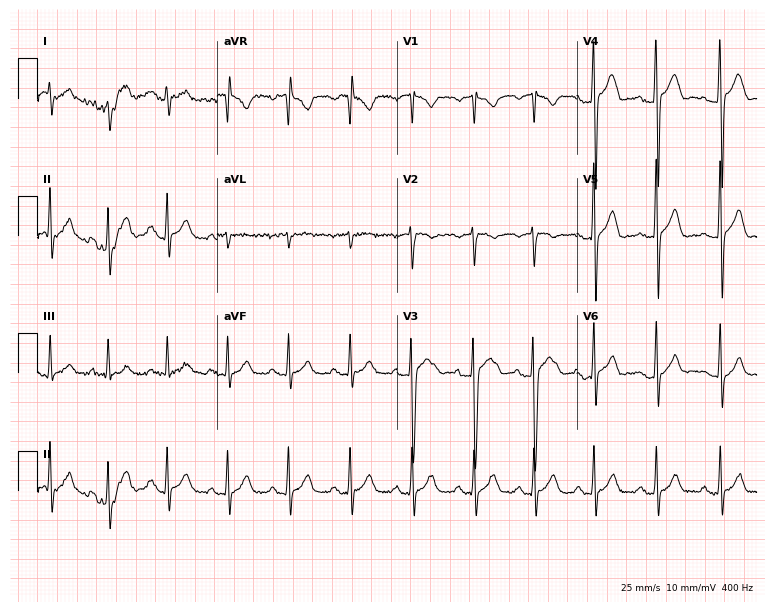
12-lead ECG from a male, 22 years old (7.3-second recording at 400 Hz). Recorded interpretation: within normal limits.